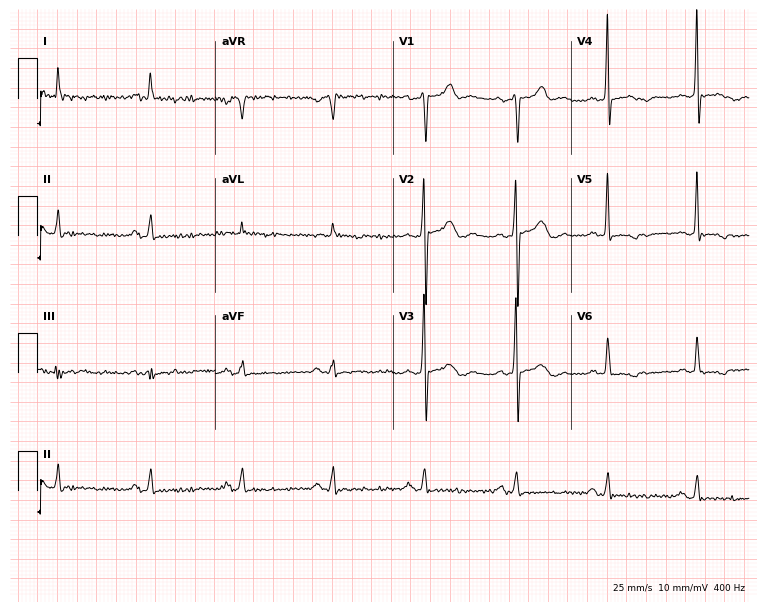
Standard 12-lead ECG recorded from a male patient, 80 years old (7.3-second recording at 400 Hz). None of these six findings is recorded: first-degree AV block, right bundle branch block (RBBB), left bundle branch block (LBBB), sinus bradycardia, atrial fibrillation (AF), sinus tachycardia. Only these six findings were labelled.